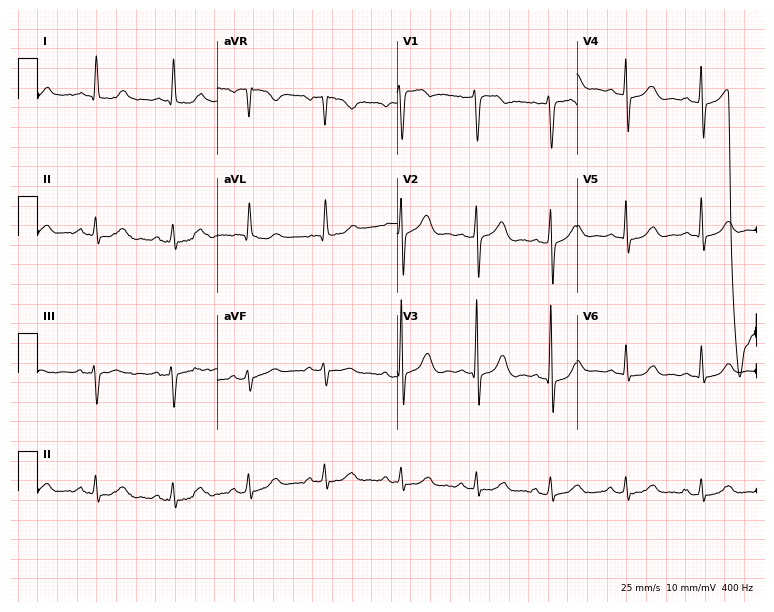
Electrocardiogram (7.3-second recording at 400 Hz), a male patient, 75 years old. Of the six screened findings (first-degree AV block, right bundle branch block (RBBB), left bundle branch block (LBBB), sinus bradycardia, atrial fibrillation (AF), sinus tachycardia), none is recorded. Only these six findings were labelled.